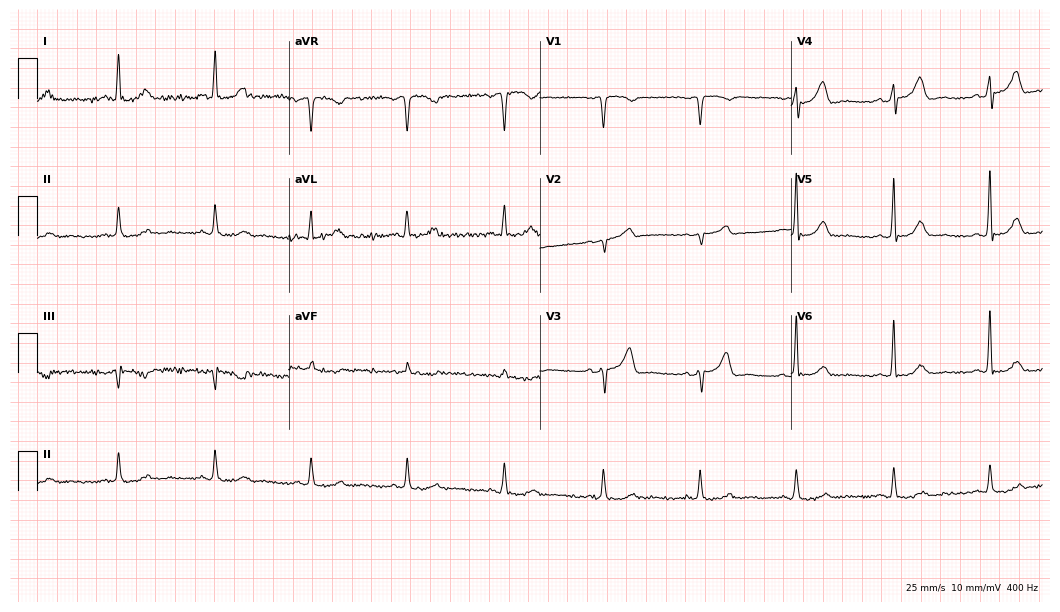
Resting 12-lead electrocardiogram. Patient: a man, 66 years old. Read as a normal ECG.